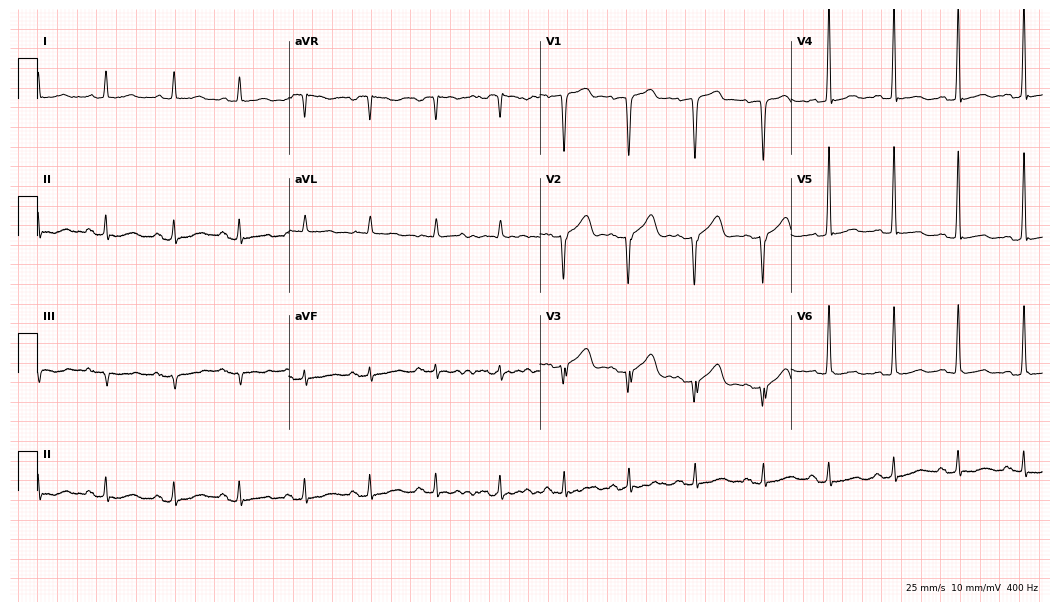
12-lead ECG from a male, 76 years old (10.2-second recording at 400 Hz). No first-degree AV block, right bundle branch block, left bundle branch block, sinus bradycardia, atrial fibrillation or sinus tachycardia recorded for this tracing. Other findings, if any, are not listed.